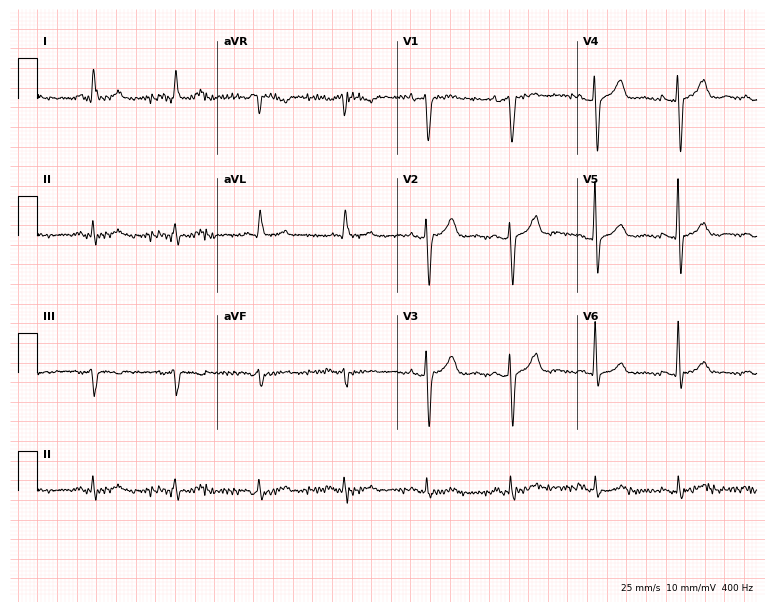
Standard 12-lead ECG recorded from a male, 67 years old (7.3-second recording at 400 Hz). None of these six findings is recorded: first-degree AV block, right bundle branch block (RBBB), left bundle branch block (LBBB), sinus bradycardia, atrial fibrillation (AF), sinus tachycardia.